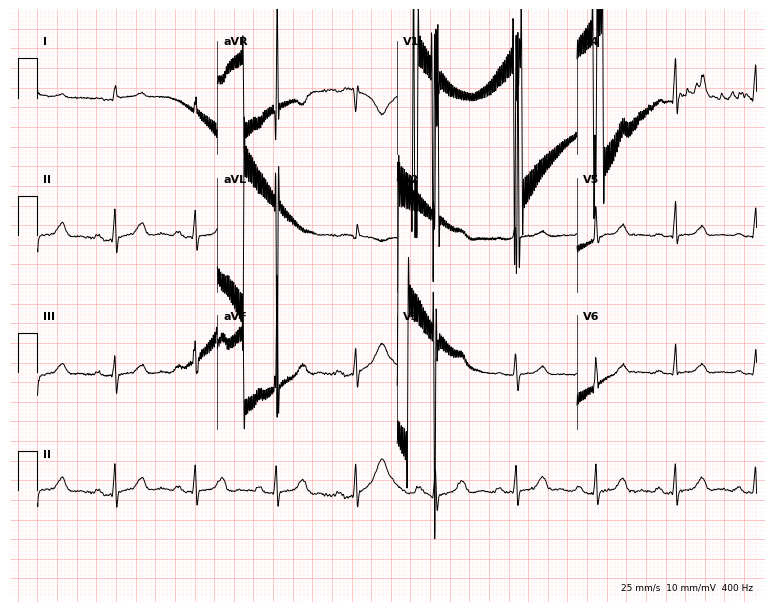
12-lead ECG from a woman, 64 years old. No first-degree AV block, right bundle branch block, left bundle branch block, sinus bradycardia, atrial fibrillation or sinus tachycardia recorded for this tracing. Other findings, if any, are not listed.